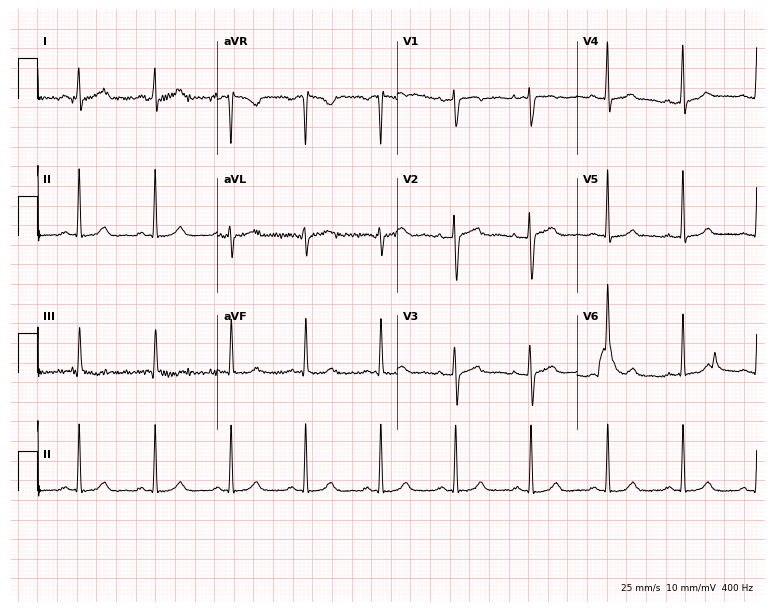
Standard 12-lead ECG recorded from a female, 30 years old. Read as a normal ECG.